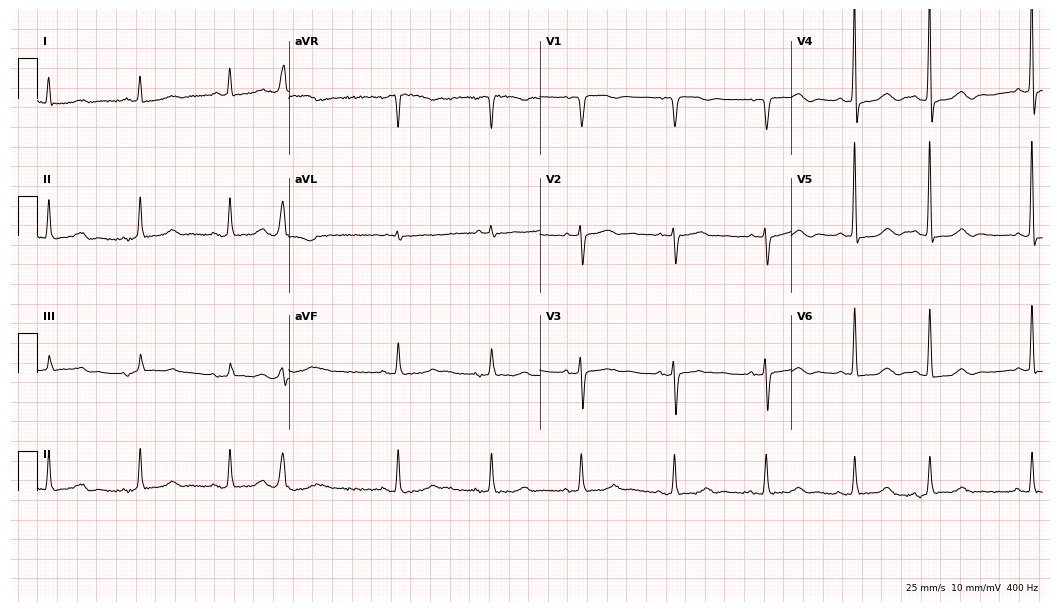
Electrocardiogram, a female, 84 years old. Of the six screened findings (first-degree AV block, right bundle branch block (RBBB), left bundle branch block (LBBB), sinus bradycardia, atrial fibrillation (AF), sinus tachycardia), none is recorded. Other findings, if any, are not listed.